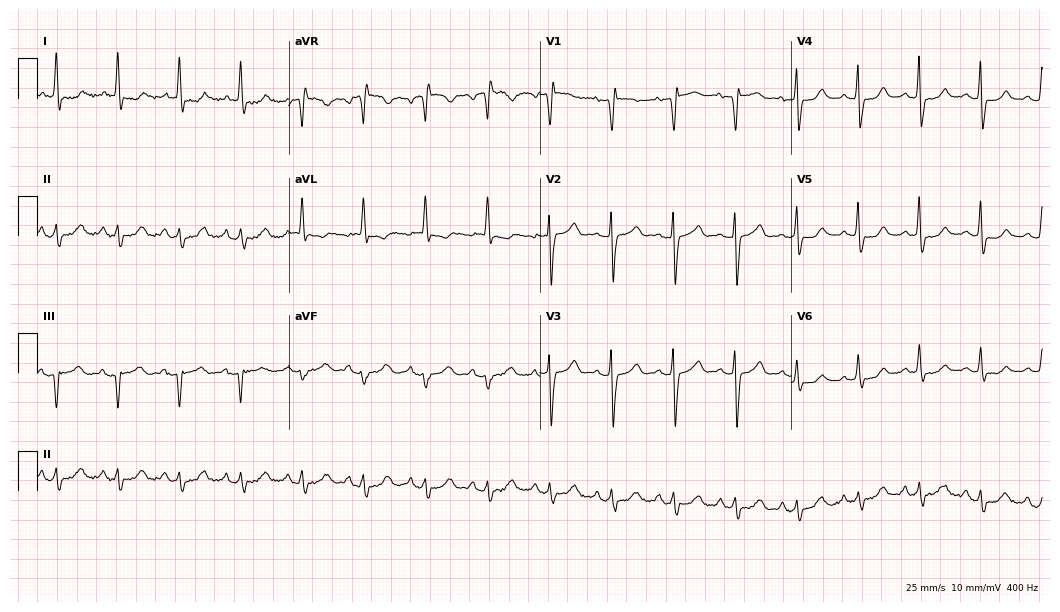
12-lead ECG (10.2-second recording at 400 Hz) from a female, 83 years old. Labelled as a normal ECG.